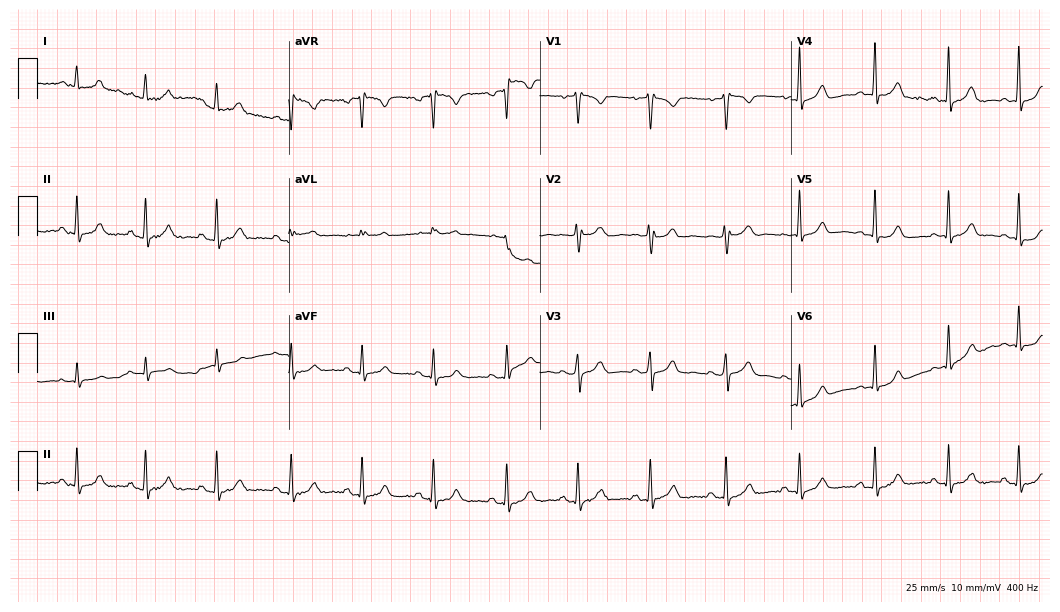
12-lead ECG from a 21-year-old woman. Labelled as a normal ECG.